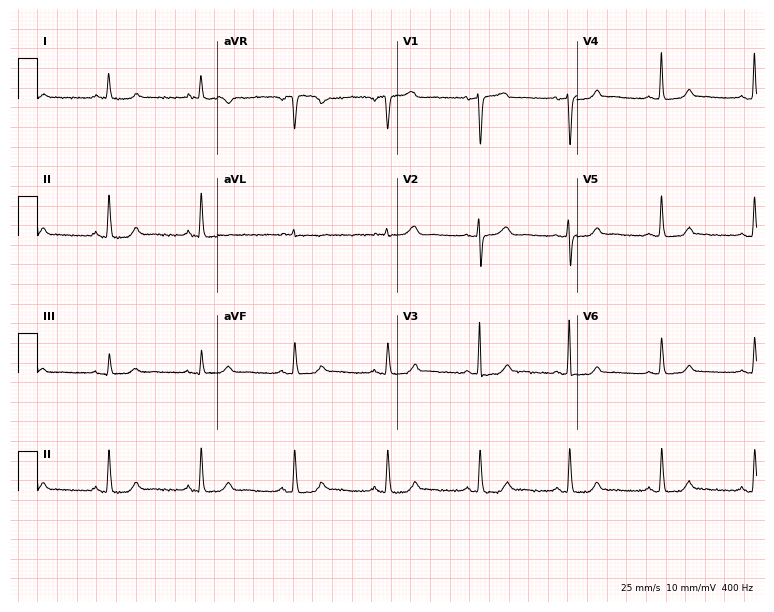
ECG (7.3-second recording at 400 Hz) — a woman, 65 years old. Labelled as a normal ECG.